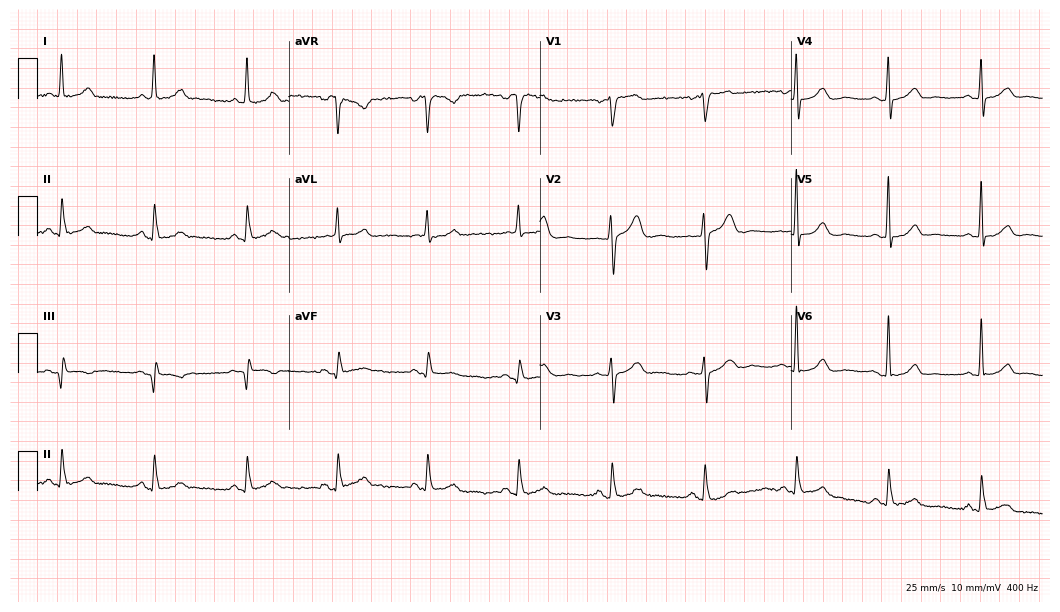
Standard 12-lead ECG recorded from a female, 63 years old. Read as a normal ECG.